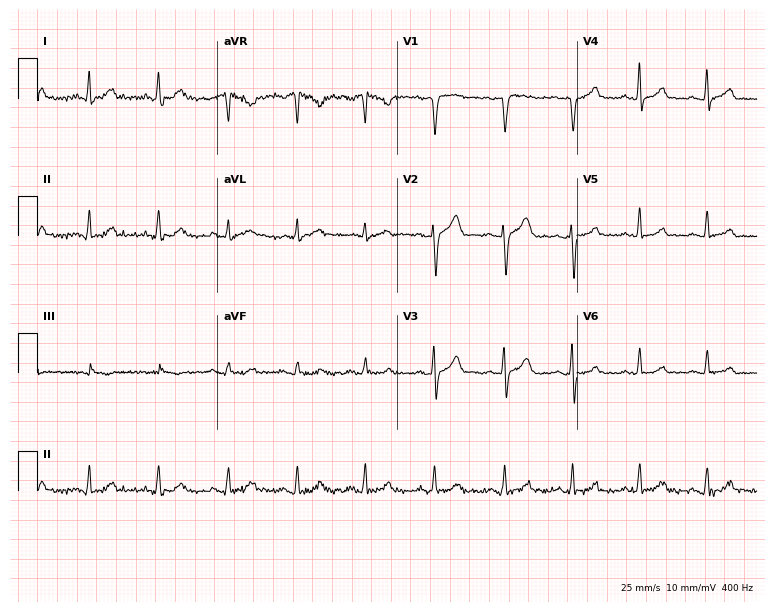
12-lead ECG from a 45-year-old female (7.3-second recording at 400 Hz). No first-degree AV block, right bundle branch block (RBBB), left bundle branch block (LBBB), sinus bradycardia, atrial fibrillation (AF) or sinus tachycardia recorded for this tracing.